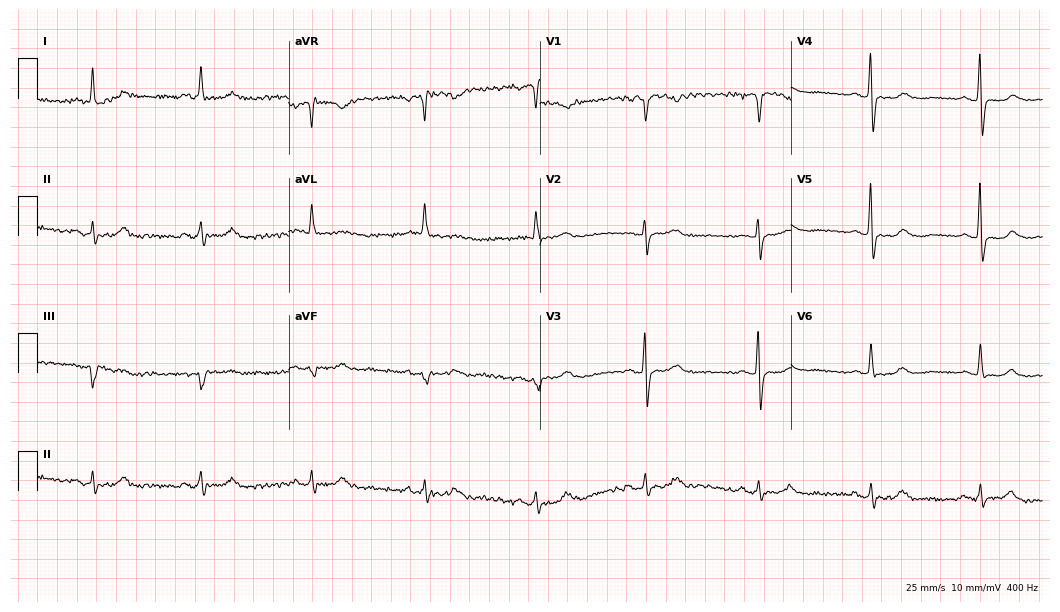
Resting 12-lead electrocardiogram (10.2-second recording at 400 Hz). Patient: a 54-year-old female. None of these six findings is recorded: first-degree AV block, right bundle branch block (RBBB), left bundle branch block (LBBB), sinus bradycardia, atrial fibrillation (AF), sinus tachycardia. Findings outside these six are not listed.